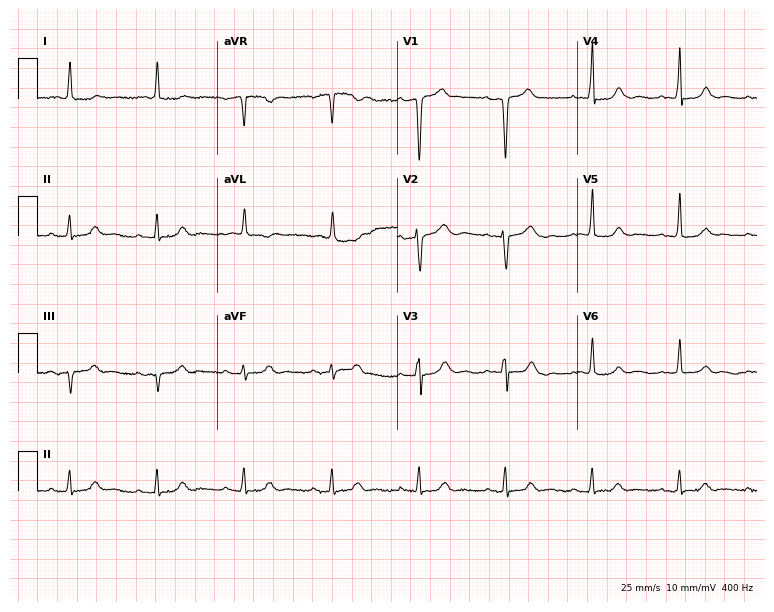
Resting 12-lead electrocardiogram. Patient: an 80-year-old male. None of these six findings is recorded: first-degree AV block, right bundle branch block (RBBB), left bundle branch block (LBBB), sinus bradycardia, atrial fibrillation (AF), sinus tachycardia. Other findings, if any, are not listed.